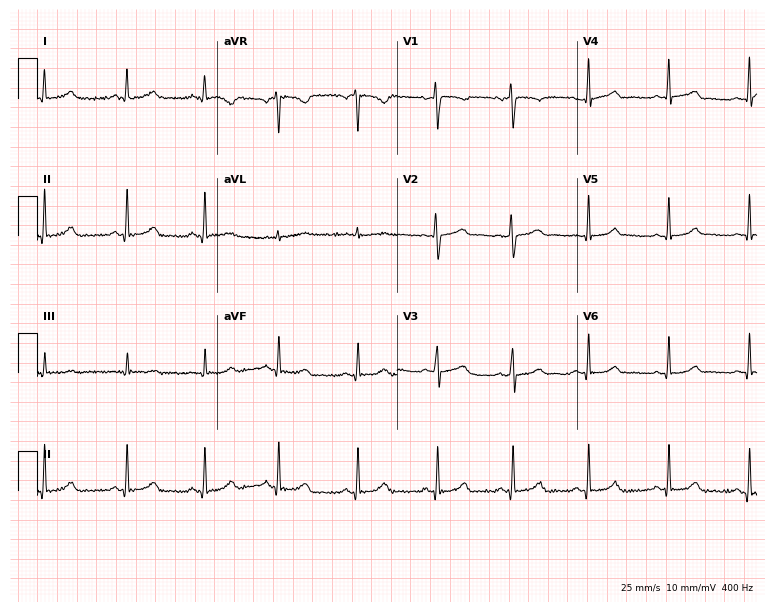
ECG (7.3-second recording at 400 Hz) — a female, 23 years old. Labelled as a normal ECG.